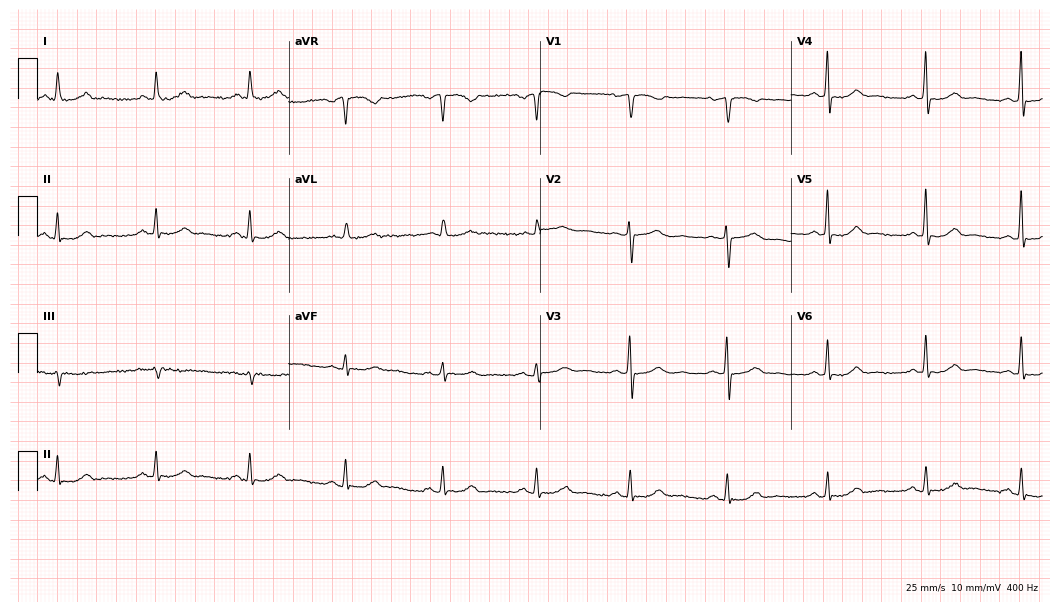
12-lead ECG from a female patient, 62 years old. Screened for six findings — first-degree AV block, right bundle branch block, left bundle branch block, sinus bradycardia, atrial fibrillation, sinus tachycardia — none is recorded. Only these six findings were labelled.